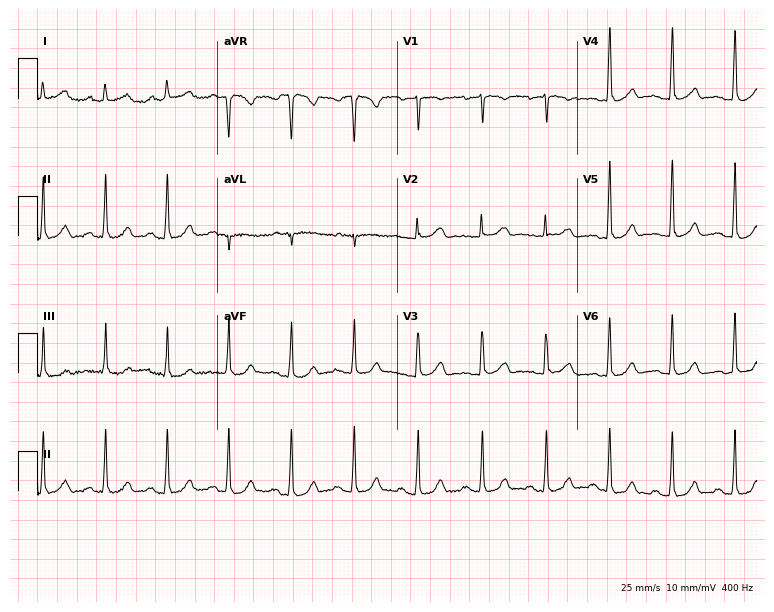
Resting 12-lead electrocardiogram. Patient: a female, 44 years old. None of these six findings is recorded: first-degree AV block, right bundle branch block, left bundle branch block, sinus bradycardia, atrial fibrillation, sinus tachycardia. Findings outside these six are not listed.